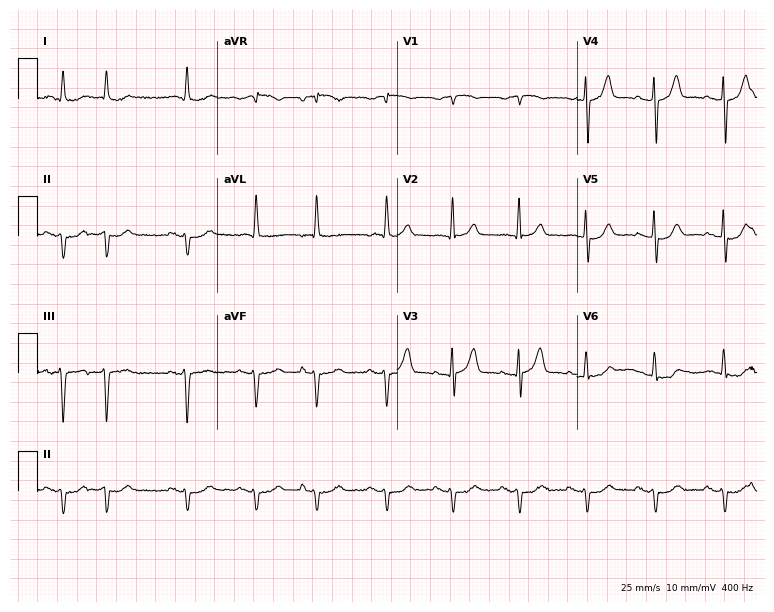
12-lead ECG from an 80-year-old male patient (7.3-second recording at 400 Hz). No first-degree AV block, right bundle branch block, left bundle branch block, sinus bradycardia, atrial fibrillation or sinus tachycardia recorded for this tracing.